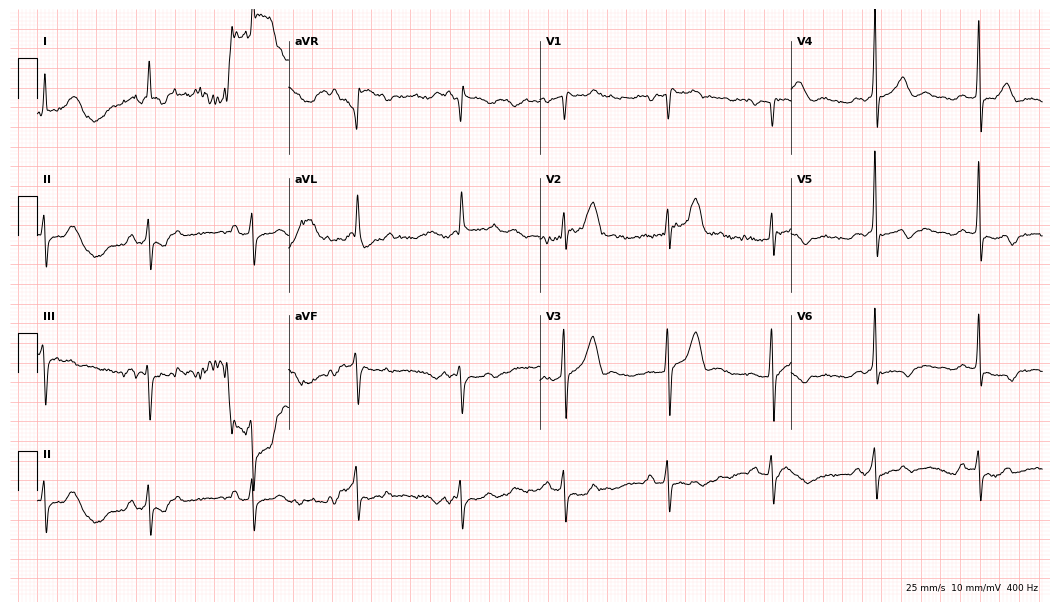
ECG (10.2-second recording at 400 Hz) — a male patient, 75 years old. Screened for six findings — first-degree AV block, right bundle branch block, left bundle branch block, sinus bradycardia, atrial fibrillation, sinus tachycardia — none is recorded. Only these six findings were labelled.